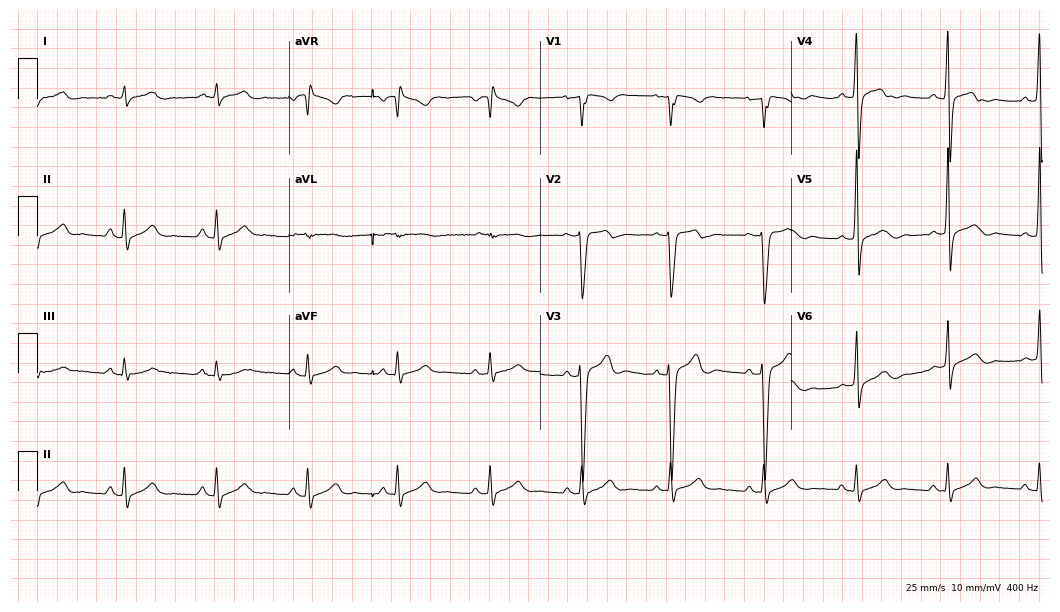
12-lead ECG (10.2-second recording at 400 Hz) from a man, 40 years old. Screened for six findings — first-degree AV block, right bundle branch block, left bundle branch block, sinus bradycardia, atrial fibrillation, sinus tachycardia — none is recorded. Findings outside these six are not listed.